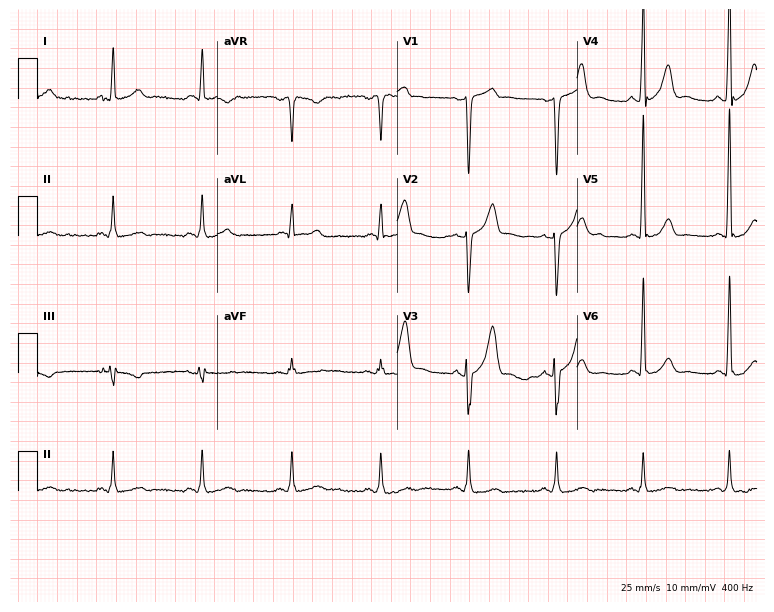
12-lead ECG from a 64-year-old male. Recorded interpretation: within normal limits.